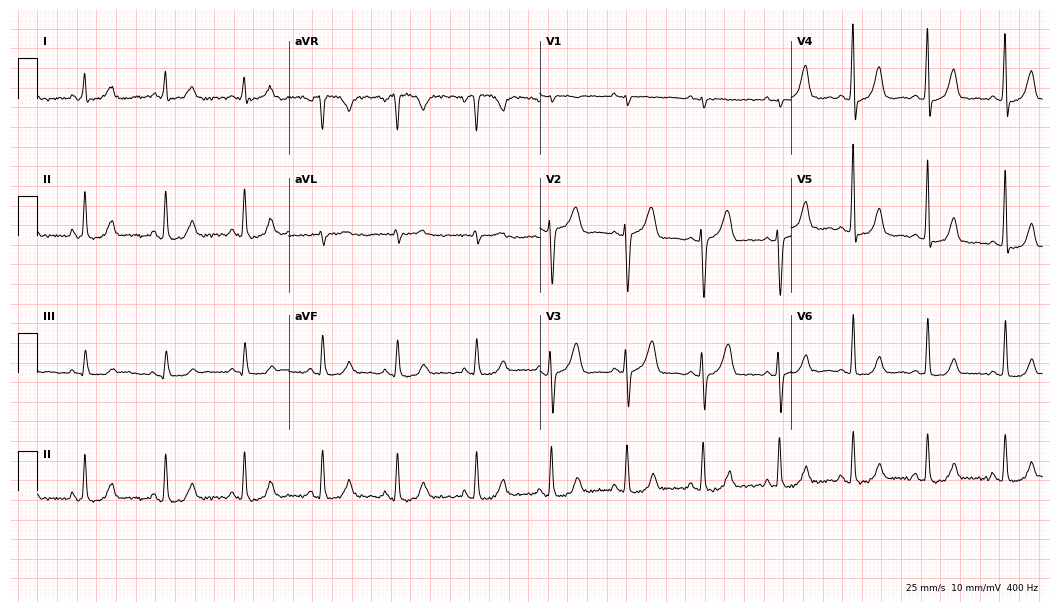
Standard 12-lead ECG recorded from a 47-year-old female patient. None of these six findings is recorded: first-degree AV block, right bundle branch block, left bundle branch block, sinus bradycardia, atrial fibrillation, sinus tachycardia. Only these six findings were labelled.